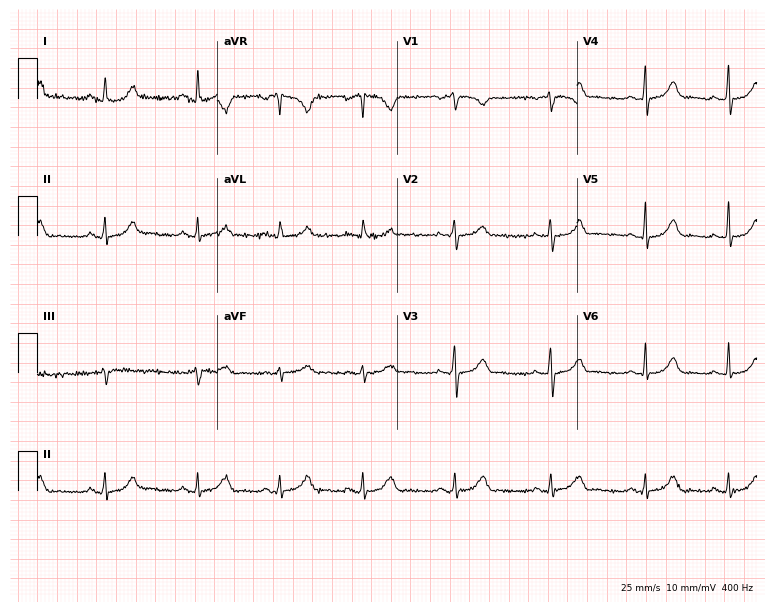
12-lead ECG from a 35-year-old female patient (7.3-second recording at 400 Hz). Recorded interpretation: within normal limits.